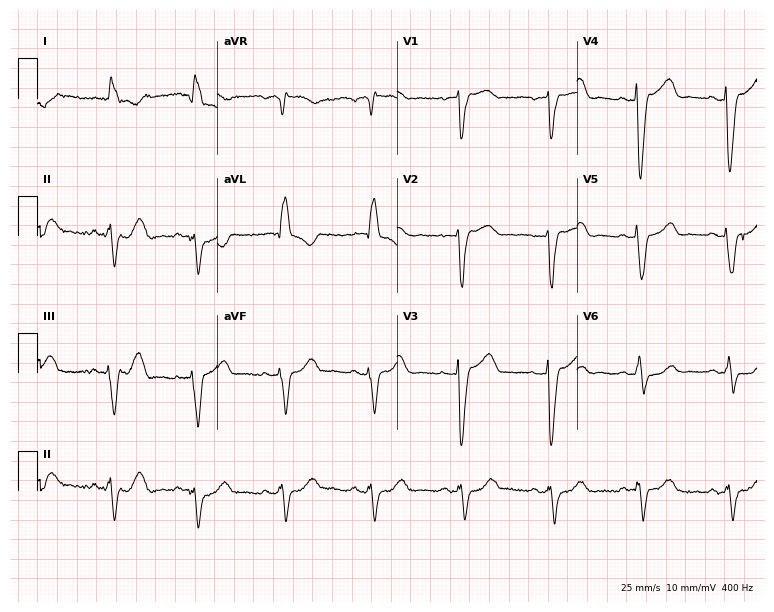
Resting 12-lead electrocardiogram. Patient: an 82-year-old woman. The tracing shows left bundle branch block.